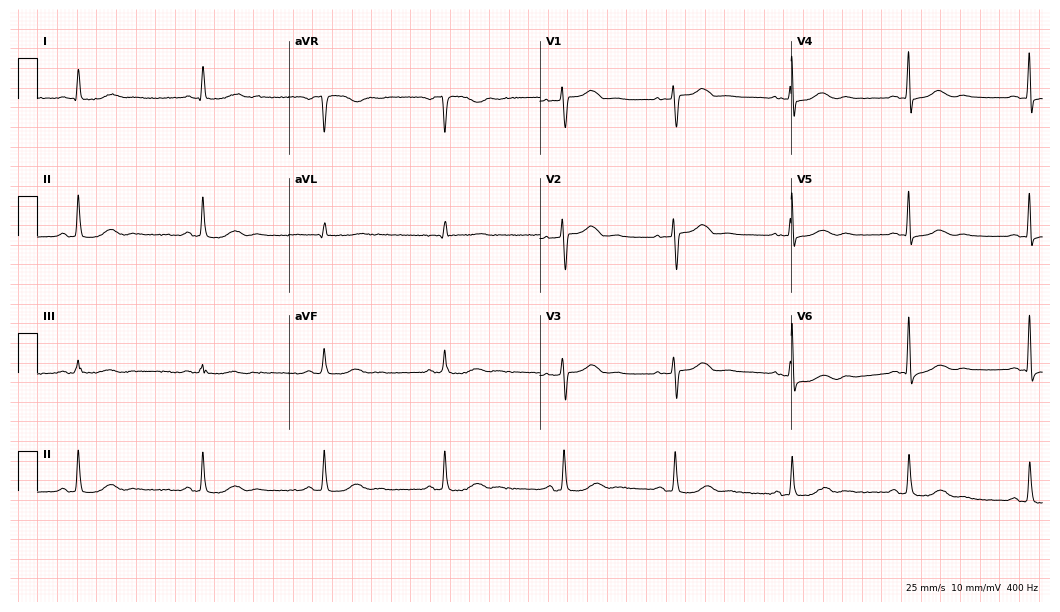
12-lead ECG (10.2-second recording at 400 Hz) from a female, 77 years old. Screened for six findings — first-degree AV block, right bundle branch block, left bundle branch block, sinus bradycardia, atrial fibrillation, sinus tachycardia — none is recorded. Other findings, if any, are not listed.